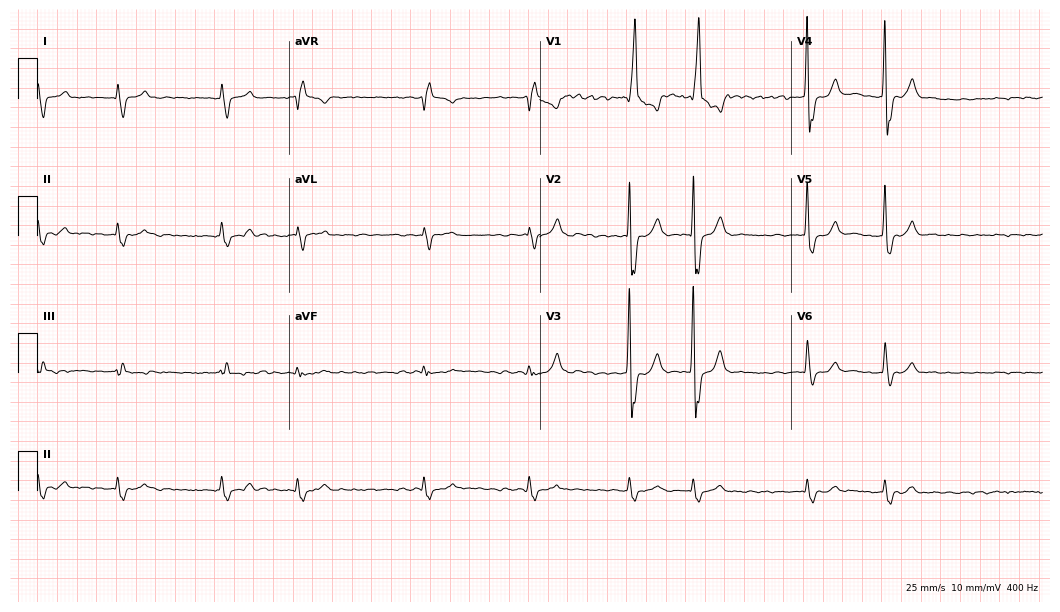
Resting 12-lead electrocardiogram (10.2-second recording at 400 Hz). Patient: a 75-year-old male. The tracing shows right bundle branch block (RBBB), atrial fibrillation (AF).